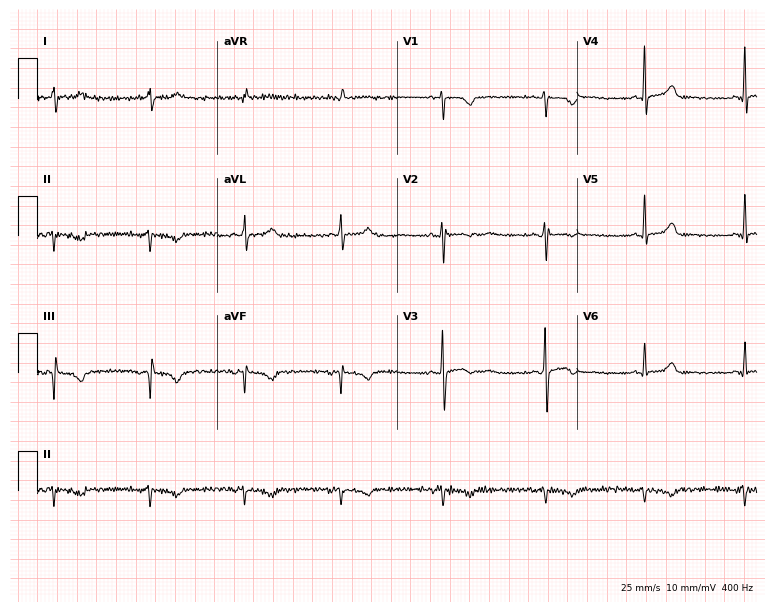
Standard 12-lead ECG recorded from a 32-year-old female patient (7.3-second recording at 400 Hz). None of these six findings is recorded: first-degree AV block, right bundle branch block, left bundle branch block, sinus bradycardia, atrial fibrillation, sinus tachycardia.